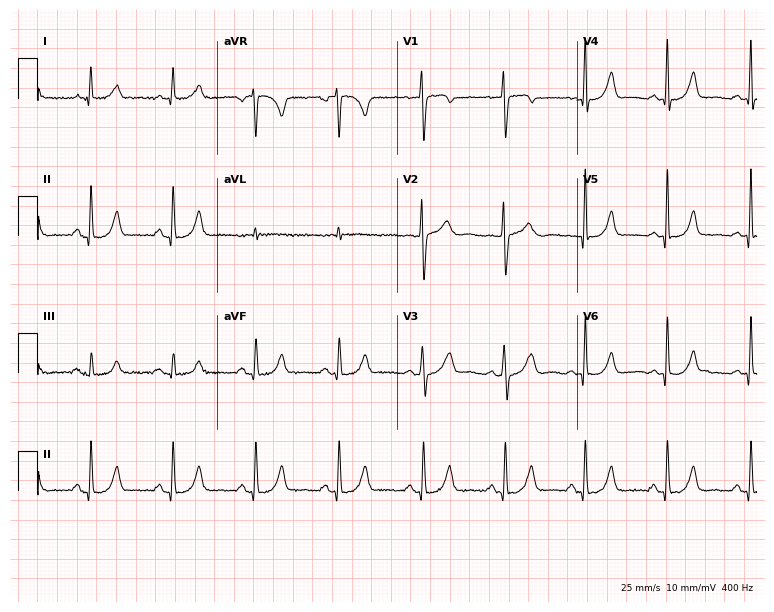
Resting 12-lead electrocardiogram (7.3-second recording at 400 Hz). Patient: a 42-year-old woman. Read as a normal ECG.